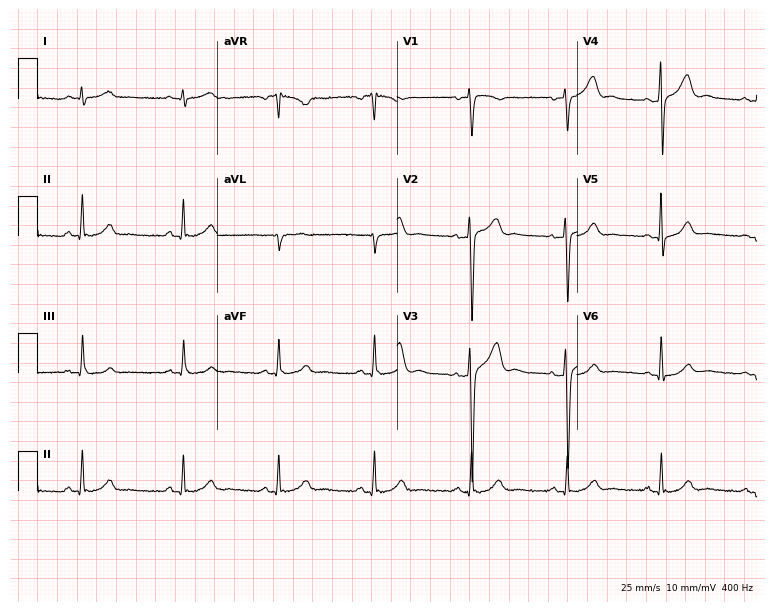
ECG (7.3-second recording at 400 Hz) — a woman, 42 years old. Screened for six findings — first-degree AV block, right bundle branch block, left bundle branch block, sinus bradycardia, atrial fibrillation, sinus tachycardia — none is recorded. Findings outside these six are not listed.